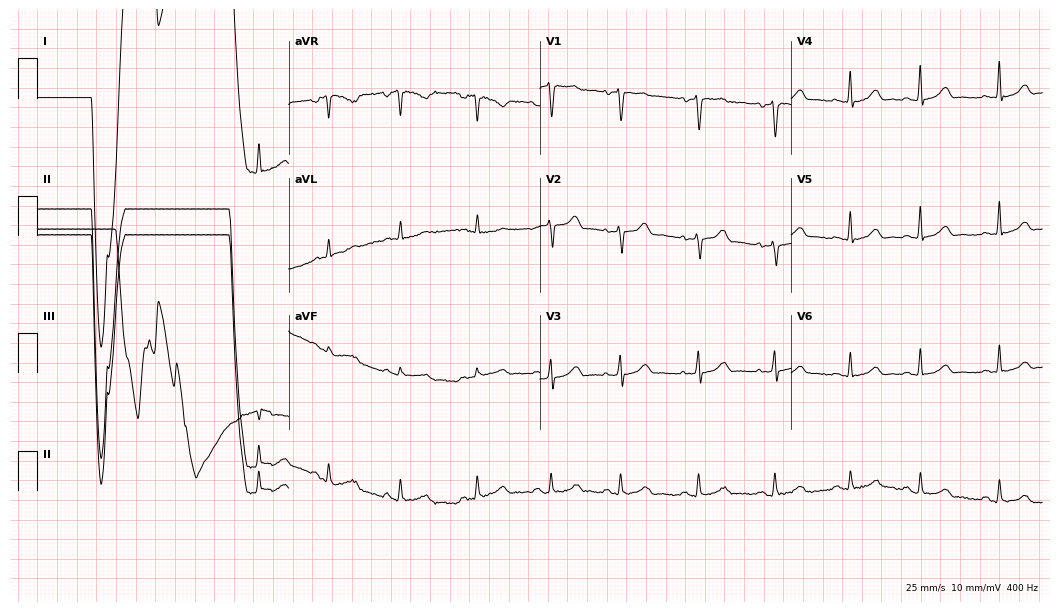
ECG (10.2-second recording at 400 Hz) — a female patient, 61 years old. Screened for six findings — first-degree AV block, right bundle branch block, left bundle branch block, sinus bradycardia, atrial fibrillation, sinus tachycardia — none is recorded. Only these six findings were labelled.